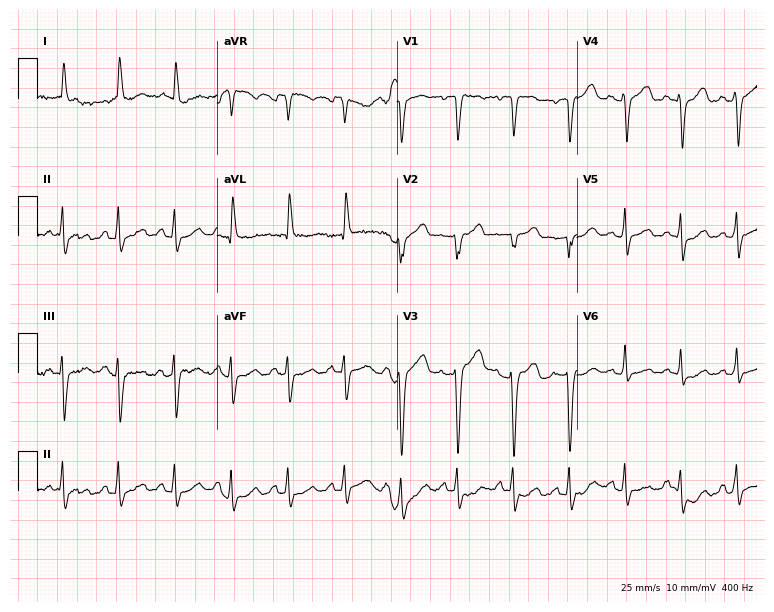
12-lead ECG from a female patient, 63 years old. Findings include sinus tachycardia (a sinus rate of 100 beats per minute or more).